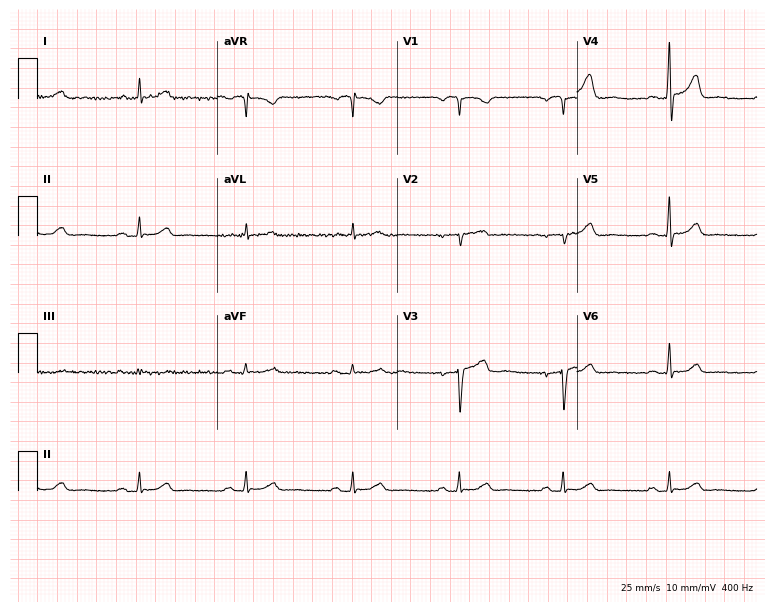
12-lead ECG from a male patient, 52 years old. Screened for six findings — first-degree AV block, right bundle branch block, left bundle branch block, sinus bradycardia, atrial fibrillation, sinus tachycardia — none is recorded.